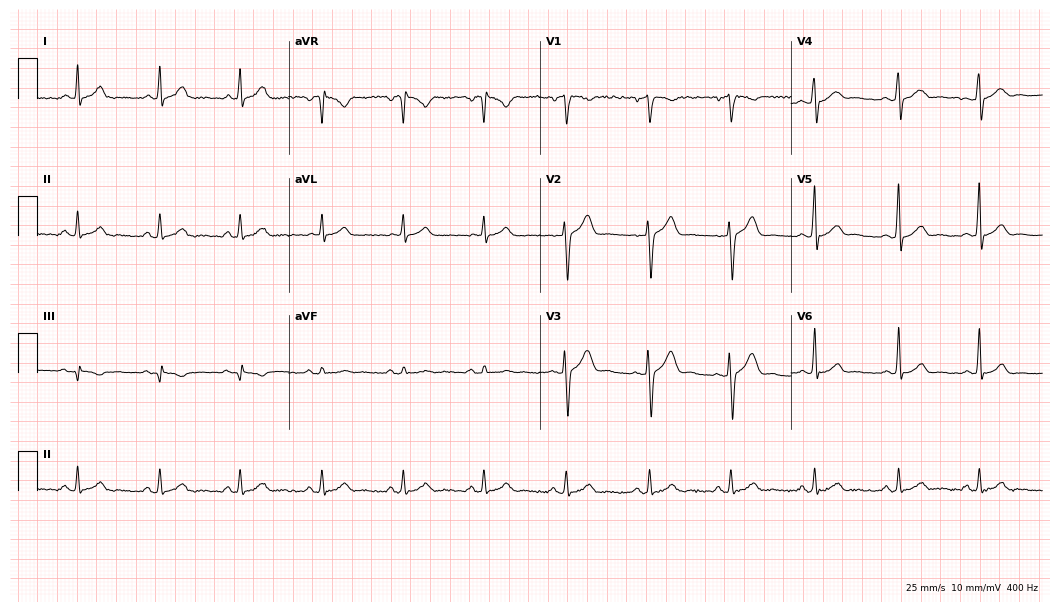
Electrocardiogram, a male patient, 35 years old. Overall reading on record: normal ECG.